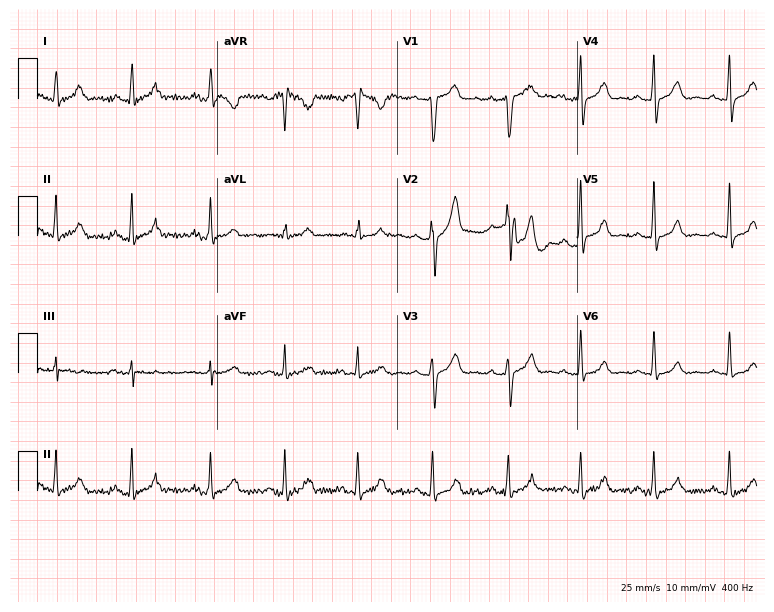
Electrocardiogram, a male, 30 years old. Of the six screened findings (first-degree AV block, right bundle branch block, left bundle branch block, sinus bradycardia, atrial fibrillation, sinus tachycardia), none is recorded.